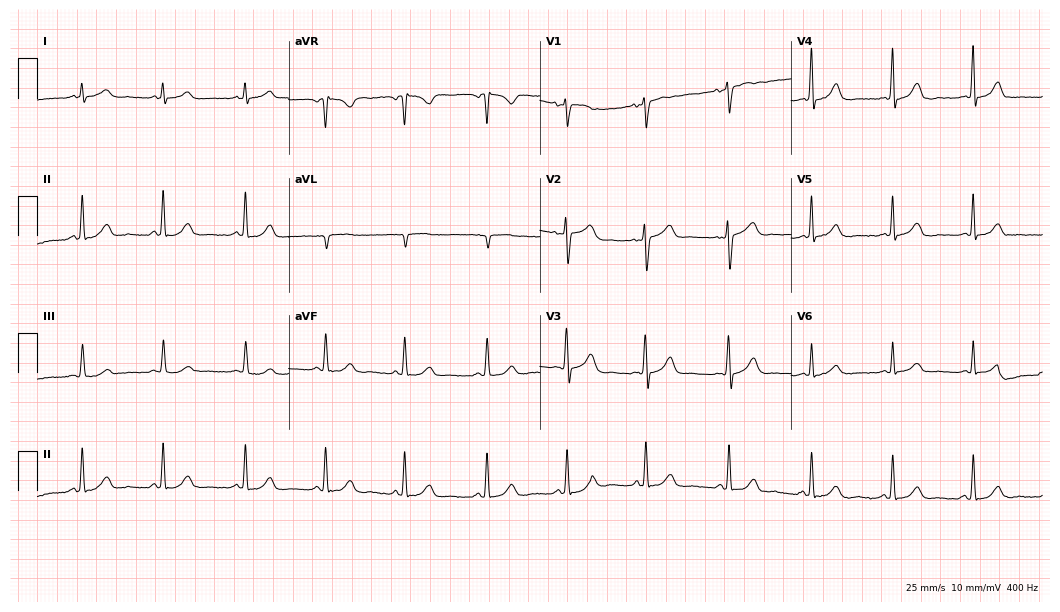
Electrocardiogram (10.2-second recording at 400 Hz), a female, 48 years old. Overall reading on record: normal ECG.